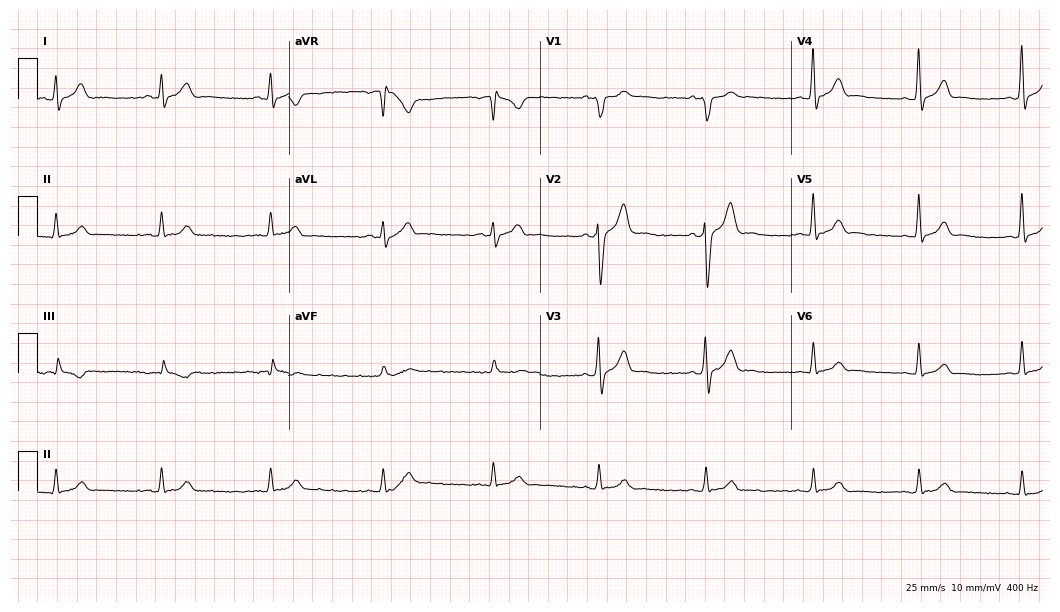
Electrocardiogram (10.2-second recording at 400 Hz), a 38-year-old male patient. Of the six screened findings (first-degree AV block, right bundle branch block, left bundle branch block, sinus bradycardia, atrial fibrillation, sinus tachycardia), none is recorded. Findings outside these six are not listed.